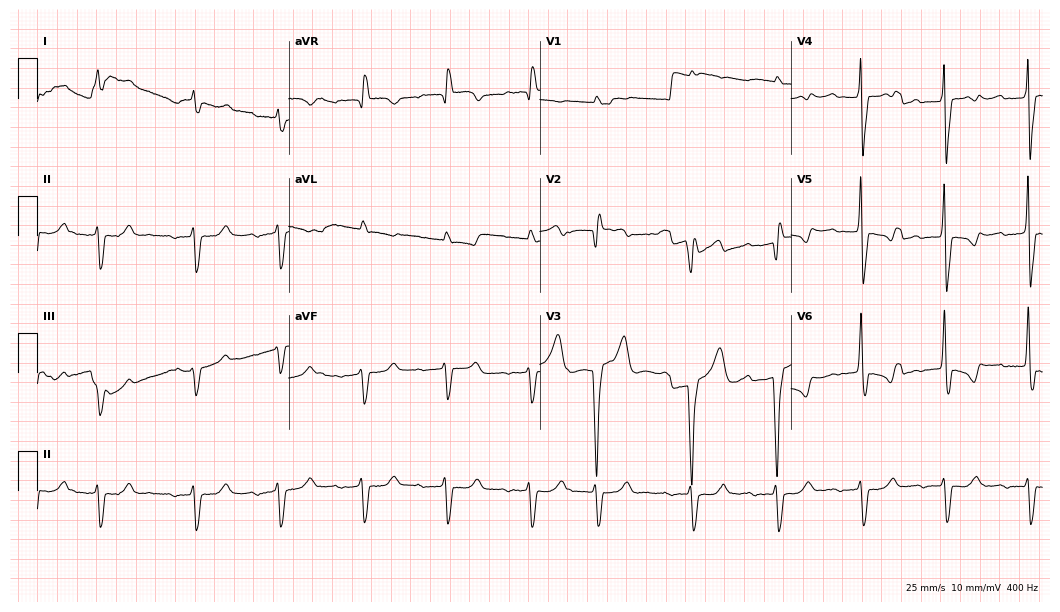
ECG — a male, 84 years old. Screened for six findings — first-degree AV block, right bundle branch block (RBBB), left bundle branch block (LBBB), sinus bradycardia, atrial fibrillation (AF), sinus tachycardia — none is recorded.